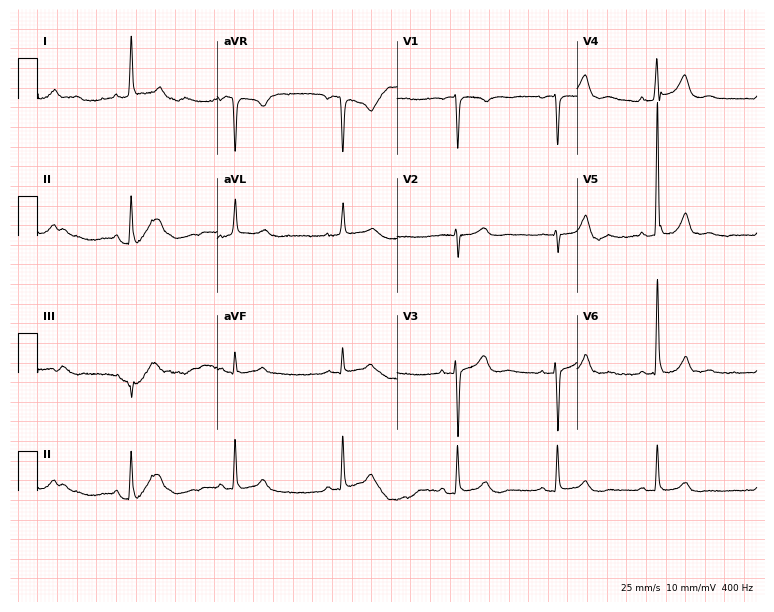
ECG — a female patient, 58 years old. Findings include sinus bradycardia (a sinus rate of 50 beats per minute or less).